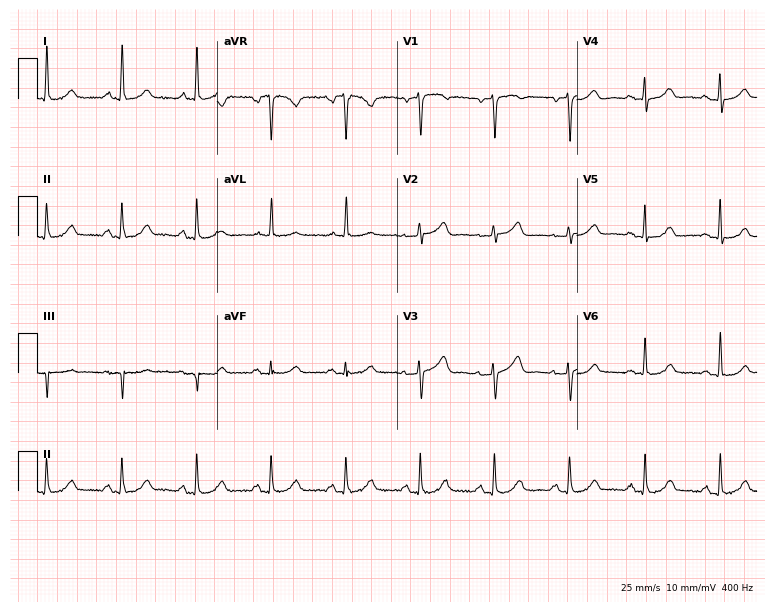
Electrocardiogram, a woman, 68 years old. Of the six screened findings (first-degree AV block, right bundle branch block, left bundle branch block, sinus bradycardia, atrial fibrillation, sinus tachycardia), none is recorded.